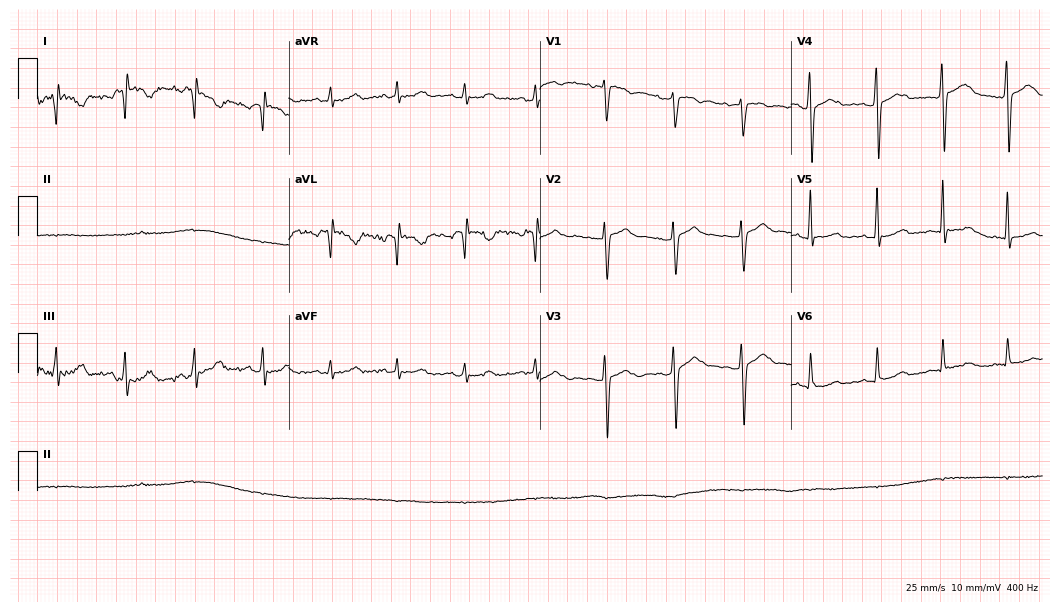
Electrocardiogram, a 52-year-old female. Of the six screened findings (first-degree AV block, right bundle branch block, left bundle branch block, sinus bradycardia, atrial fibrillation, sinus tachycardia), none is recorded. Only these six findings were labelled.